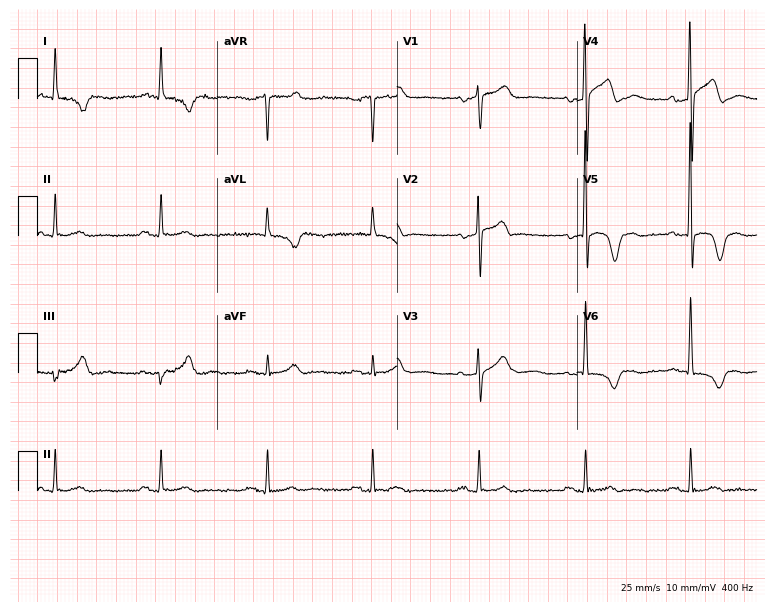
12-lead ECG from a man, 62 years old. Screened for six findings — first-degree AV block, right bundle branch block, left bundle branch block, sinus bradycardia, atrial fibrillation, sinus tachycardia — none is recorded.